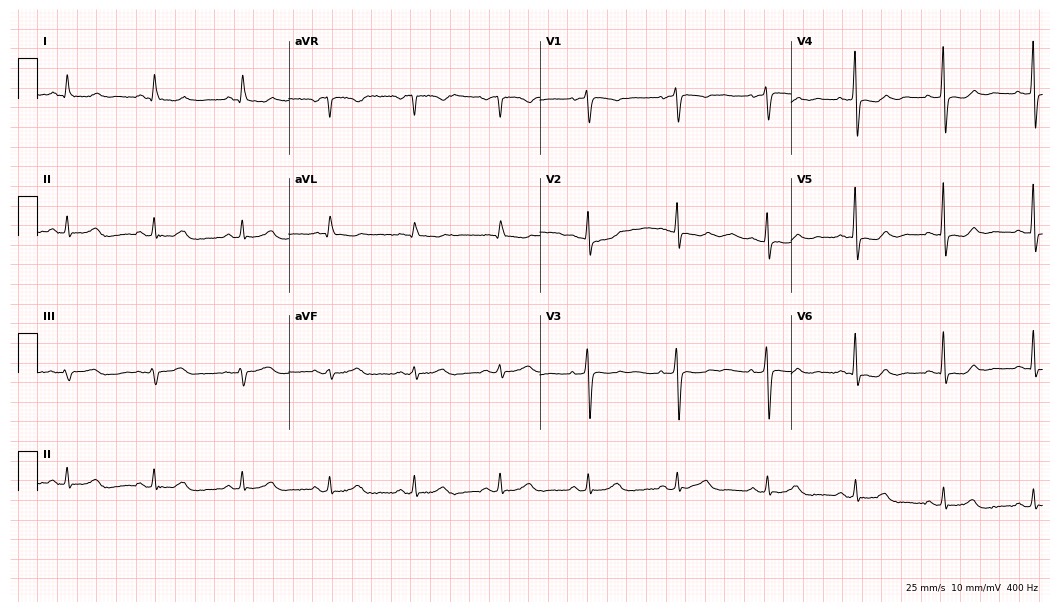
Resting 12-lead electrocardiogram (10.2-second recording at 400 Hz). Patient: a woman, 71 years old. None of these six findings is recorded: first-degree AV block, right bundle branch block (RBBB), left bundle branch block (LBBB), sinus bradycardia, atrial fibrillation (AF), sinus tachycardia. Findings outside these six are not listed.